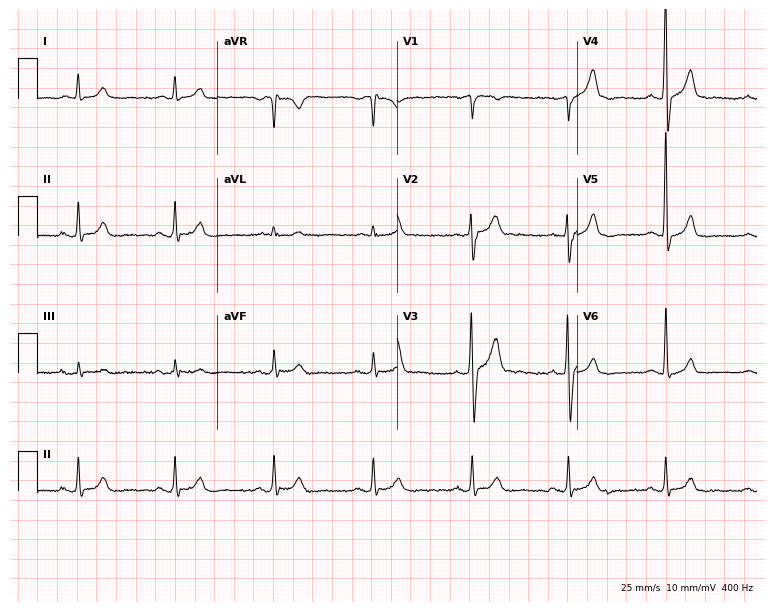
Standard 12-lead ECG recorded from a male patient, 40 years old (7.3-second recording at 400 Hz). None of these six findings is recorded: first-degree AV block, right bundle branch block, left bundle branch block, sinus bradycardia, atrial fibrillation, sinus tachycardia.